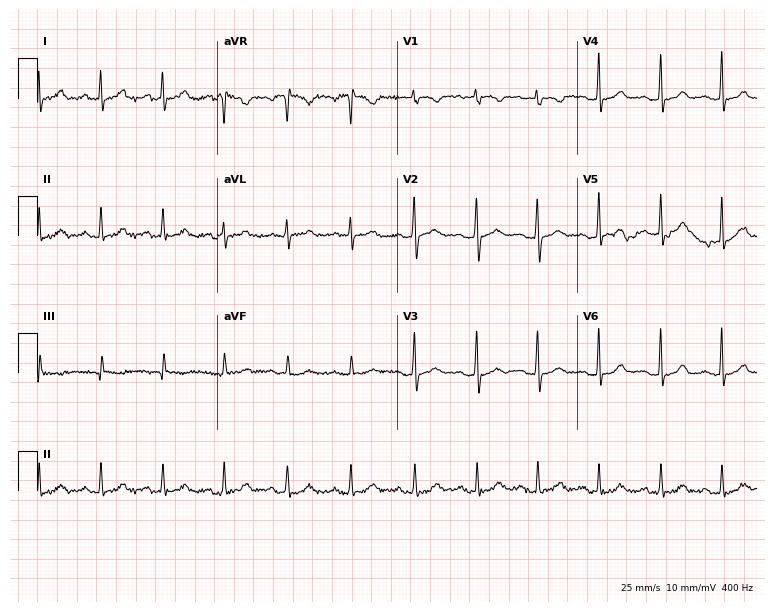
Standard 12-lead ECG recorded from a 32-year-old female patient (7.3-second recording at 400 Hz). Read as a normal ECG.